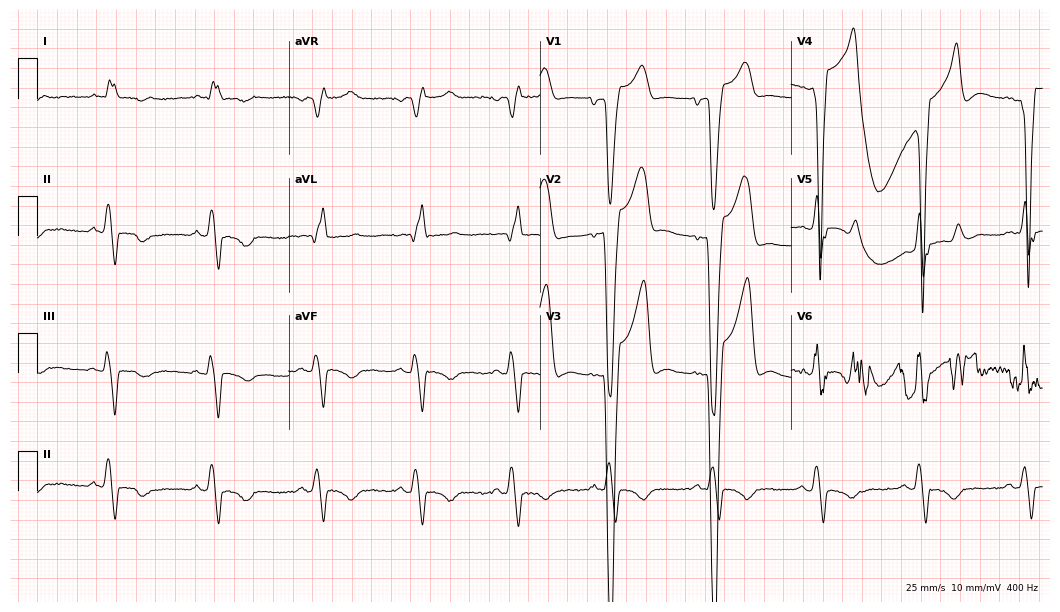
Standard 12-lead ECG recorded from a 76-year-old man (10.2-second recording at 400 Hz). The tracing shows left bundle branch block.